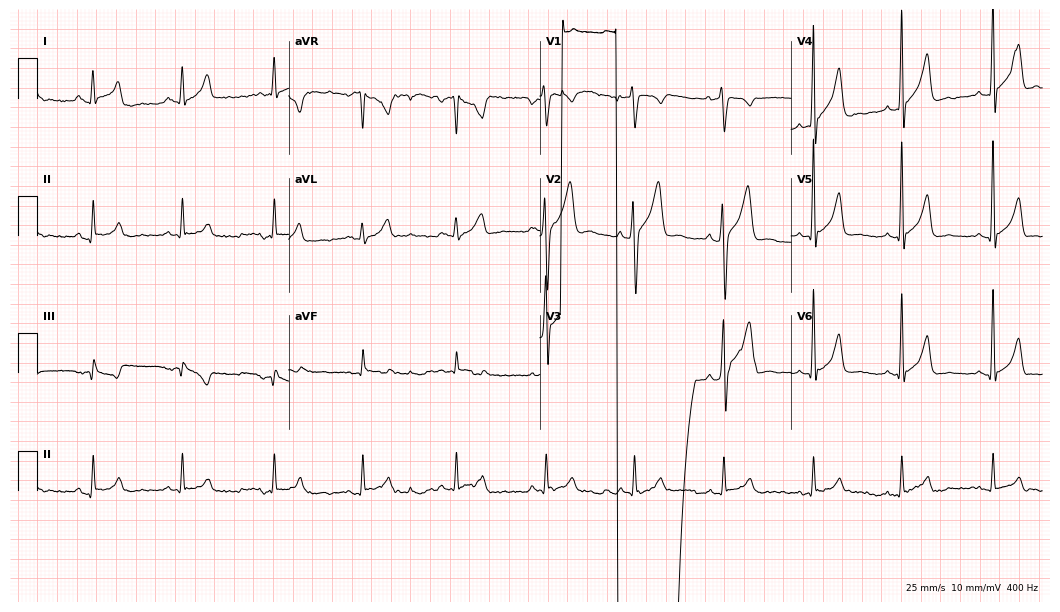
ECG — a man, 27 years old. Screened for six findings — first-degree AV block, right bundle branch block (RBBB), left bundle branch block (LBBB), sinus bradycardia, atrial fibrillation (AF), sinus tachycardia — none is recorded. Findings outside these six are not listed.